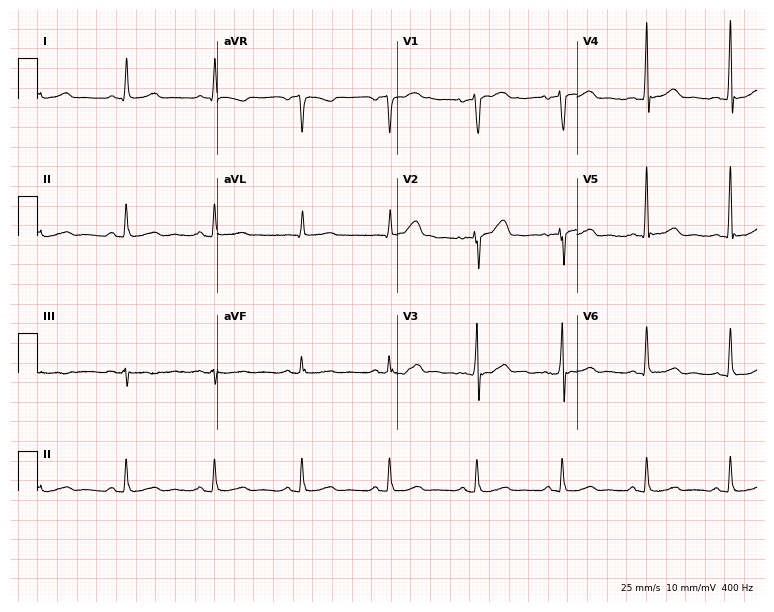
ECG (7.3-second recording at 400 Hz) — a 55-year-old female patient. Screened for six findings — first-degree AV block, right bundle branch block, left bundle branch block, sinus bradycardia, atrial fibrillation, sinus tachycardia — none is recorded. Only these six findings were labelled.